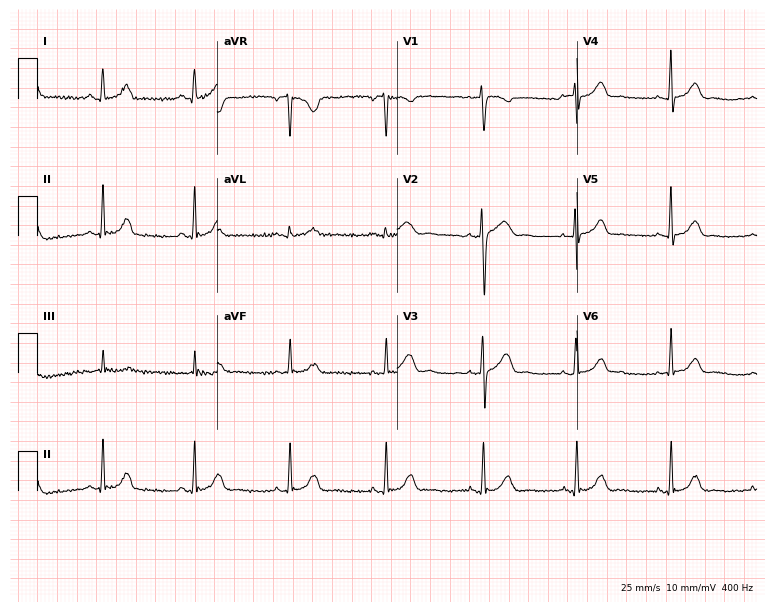
Resting 12-lead electrocardiogram (7.3-second recording at 400 Hz). Patient: a female, 32 years old. Read as a normal ECG.